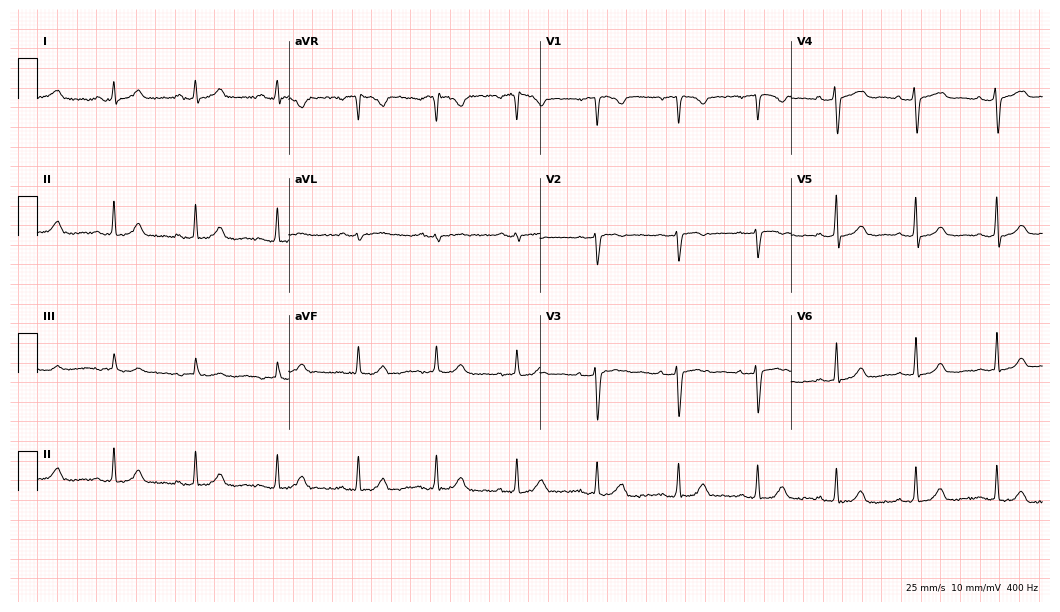
Standard 12-lead ECG recorded from a 38-year-old female patient. None of these six findings is recorded: first-degree AV block, right bundle branch block, left bundle branch block, sinus bradycardia, atrial fibrillation, sinus tachycardia.